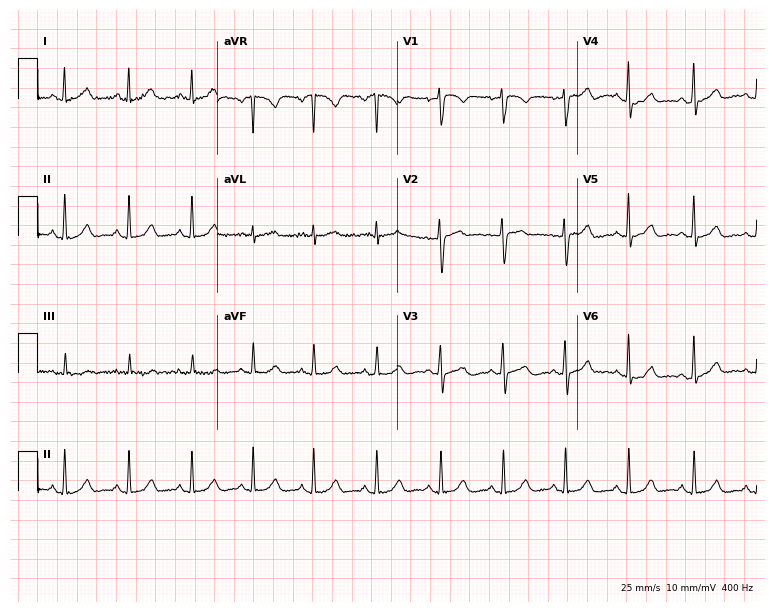
Electrocardiogram (7.3-second recording at 400 Hz), a female, 37 years old. Overall reading on record: normal ECG.